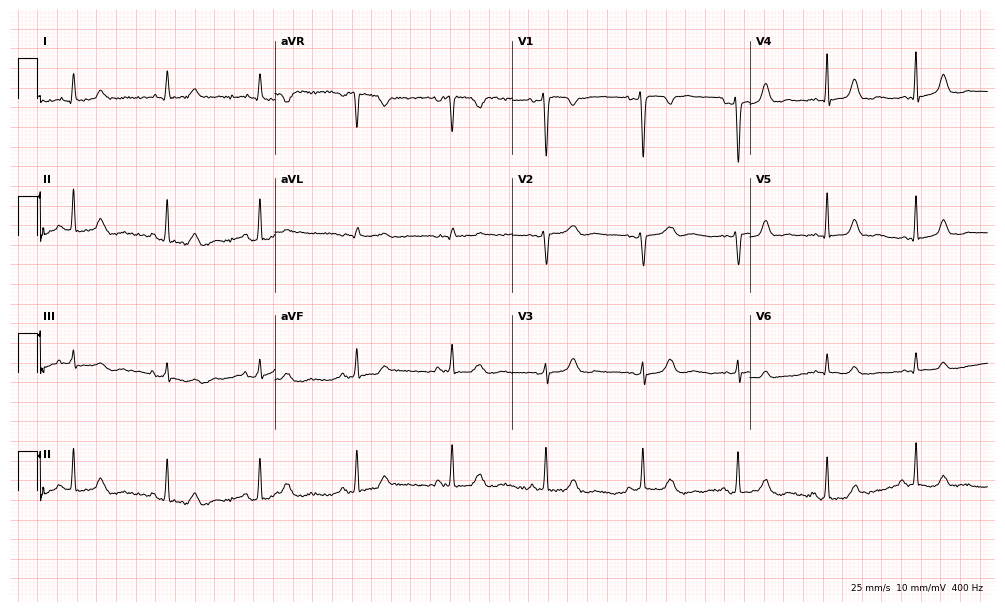
ECG (9.7-second recording at 400 Hz) — a 52-year-old woman. Labelled as a normal ECG.